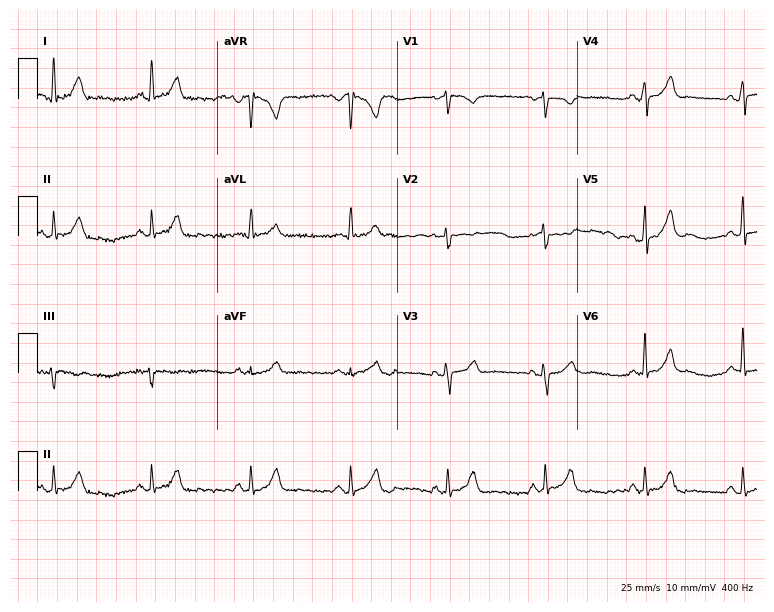
Resting 12-lead electrocardiogram. Patient: a female, 39 years old. Read as a normal ECG.